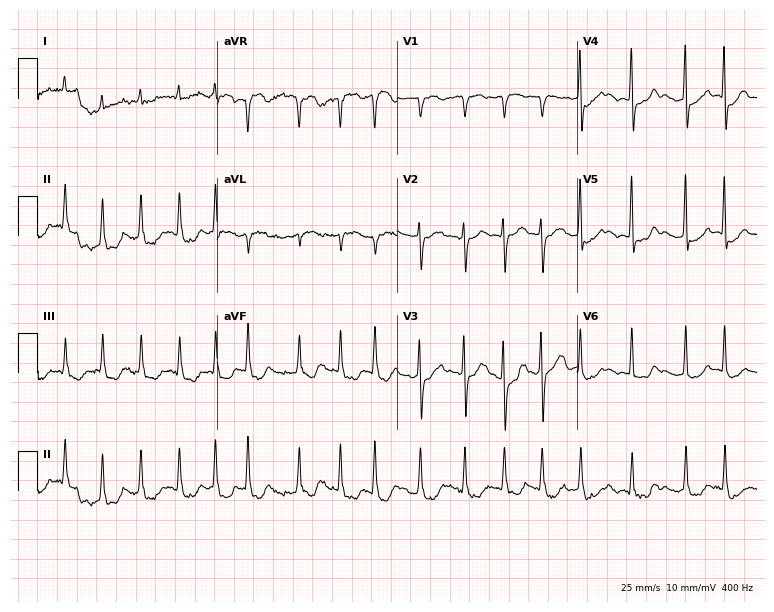
12-lead ECG from an 80-year-old woman (7.3-second recording at 400 Hz). No first-degree AV block, right bundle branch block, left bundle branch block, sinus bradycardia, atrial fibrillation or sinus tachycardia recorded for this tracing. Other findings, if any, are not listed.